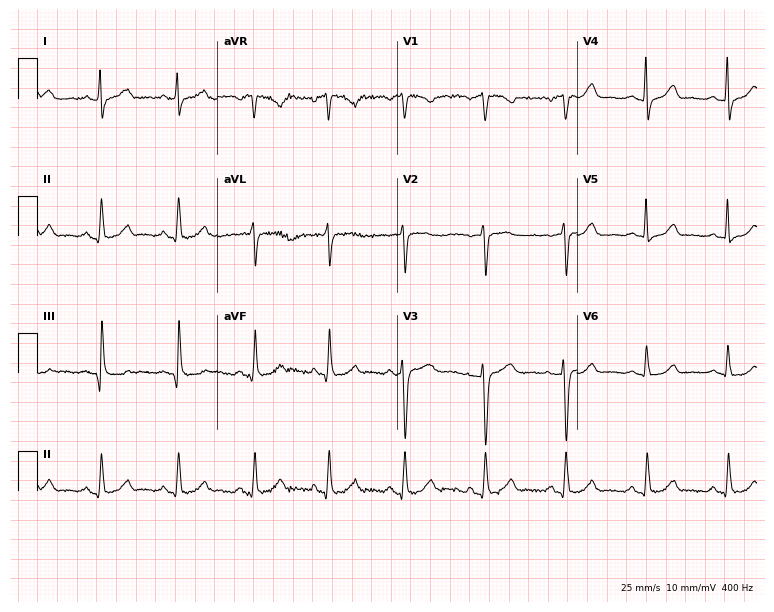
12-lead ECG (7.3-second recording at 400 Hz) from a female, 49 years old. Labelled as a normal ECG.